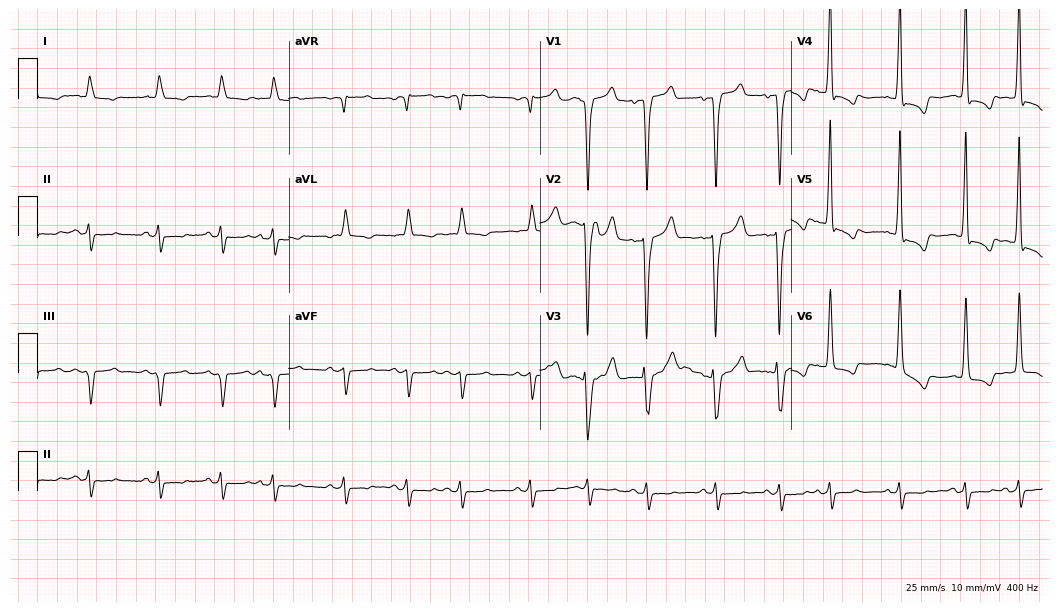
Electrocardiogram (10.2-second recording at 400 Hz), a 75-year-old man. Of the six screened findings (first-degree AV block, right bundle branch block (RBBB), left bundle branch block (LBBB), sinus bradycardia, atrial fibrillation (AF), sinus tachycardia), none is recorded. Findings outside these six are not listed.